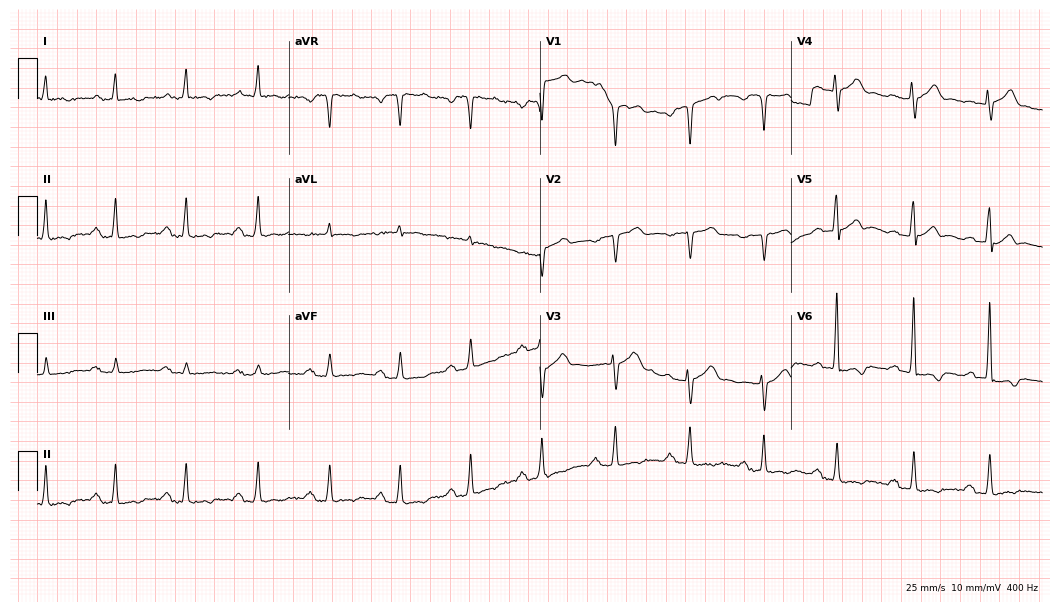
Resting 12-lead electrocardiogram (10.2-second recording at 400 Hz). Patient: a man, 71 years old. The tracing shows first-degree AV block.